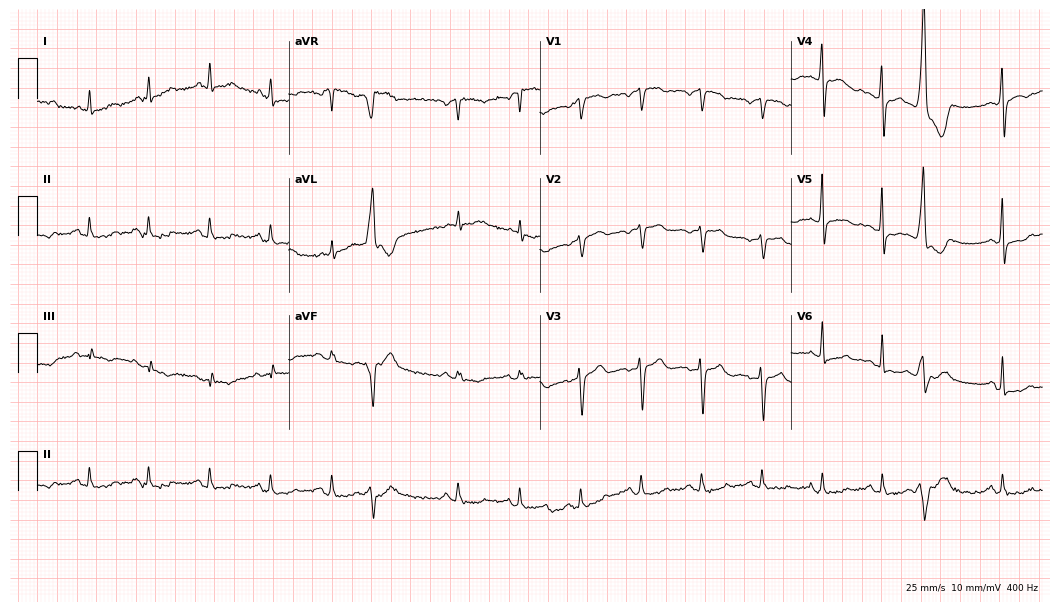
ECG (10.2-second recording at 400 Hz) — a 48-year-old female patient. Screened for six findings — first-degree AV block, right bundle branch block (RBBB), left bundle branch block (LBBB), sinus bradycardia, atrial fibrillation (AF), sinus tachycardia — none is recorded.